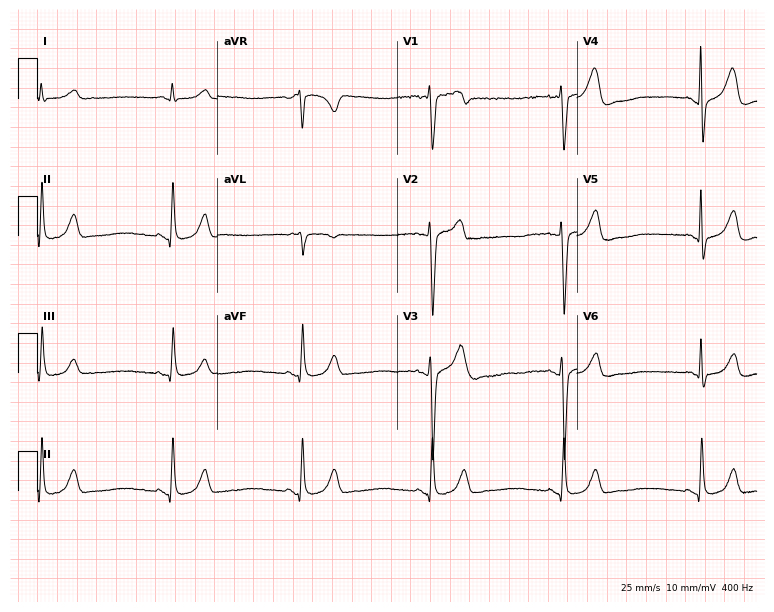
Resting 12-lead electrocardiogram (7.3-second recording at 400 Hz). Patient: a 49-year-old male. The tracing shows sinus bradycardia (a sinus rate of 50 beats per minute or less).